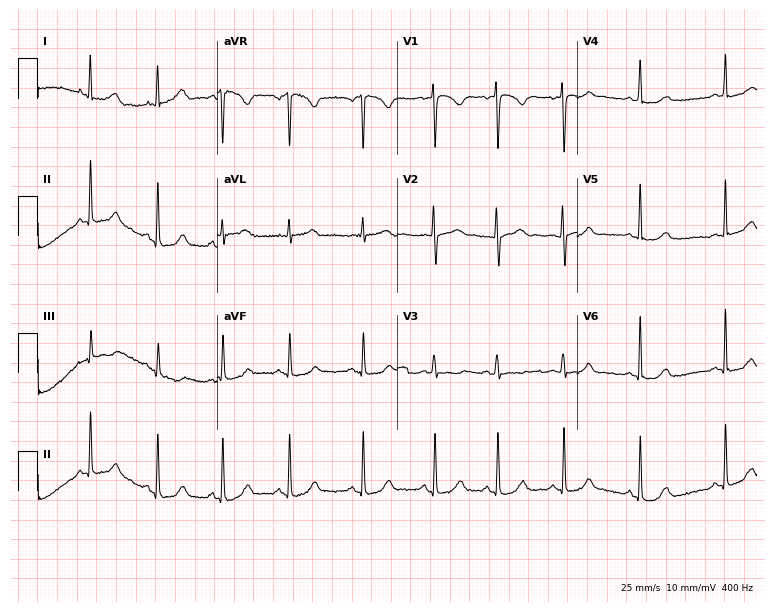
Resting 12-lead electrocardiogram (7.3-second recording at 400 Hz). Patient: a 25-year-old female. Read as a normal ECG.